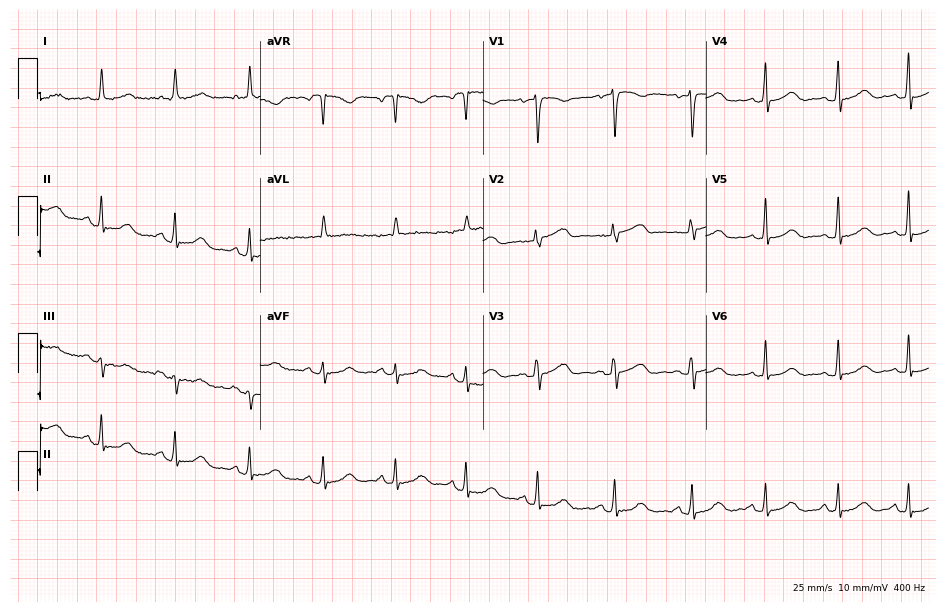
Electrocardiogram, a 65-year-old female patient. Overall reading on record: normal ECG.